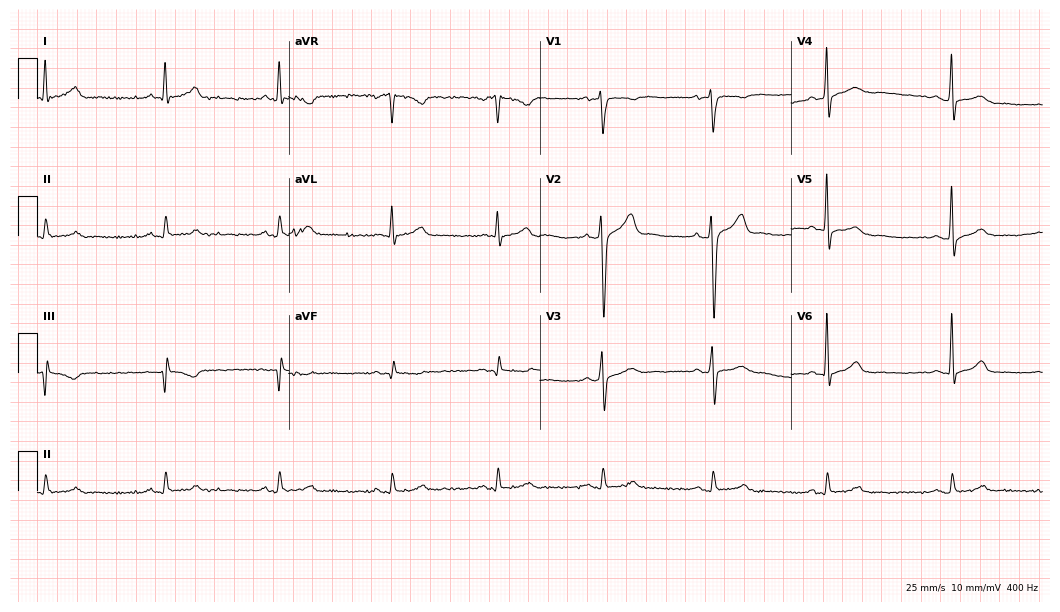
Standard 12-lead ECG recorded from a 45-year-old male patient. None of these six findings is recorded: first-degree AV block, right bundle branch block, left bundle branch block, sinus bradycardia, atrial fibrillation, sinus tachycardia. Findings outside these six are not listed.